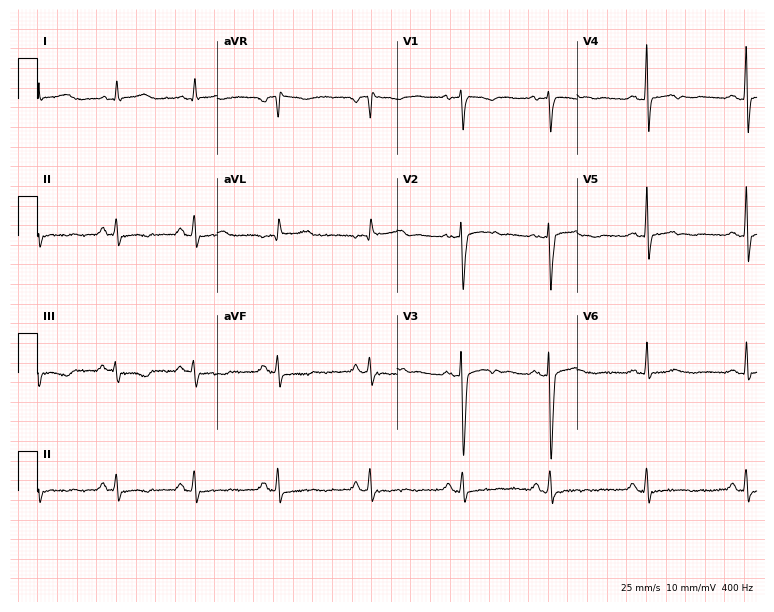
Electrocardiogram, a 30-year-old woman. Of the six screened findings (first-degree AV block, right bundle branch block, left bundle branch block, sinus bradycardia, atrial fibrillation, sinus tachycardia), none is recorded.